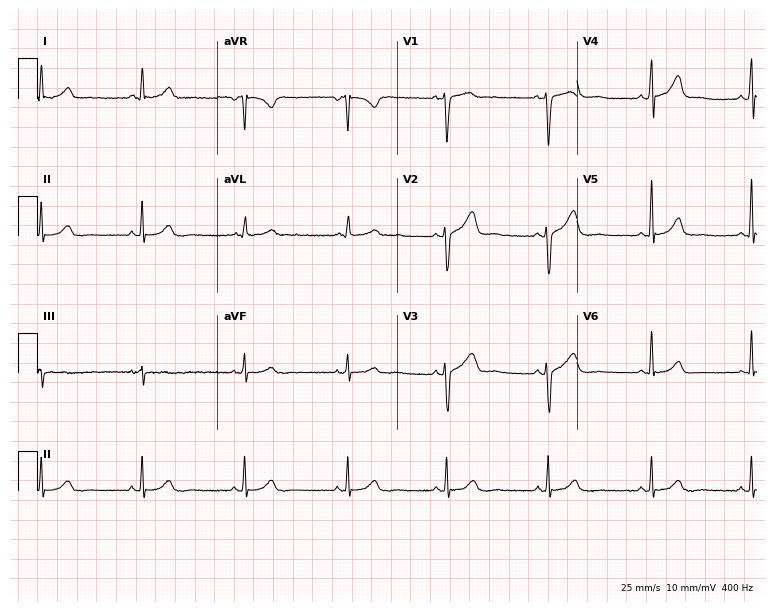
ECG (7.3-second recording at 400 Hz) — a 45-year-old woman. Labelled as a normal ECG.